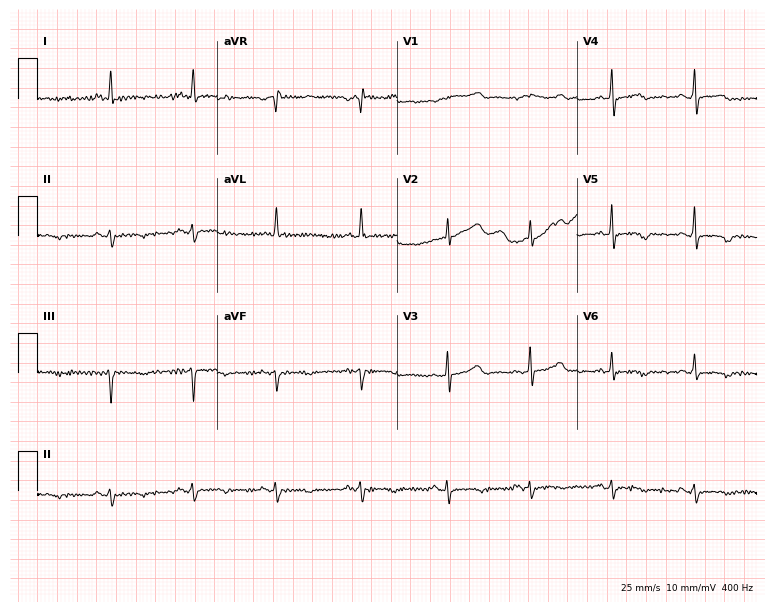
ECG — a female, 72 years old. Screened for six findings — first-degree AV block, right bundle branch block, left bundle branch block, sinus bradycardia, atrial fibrillation, sinus tachycardia — none is recorded. Other findings, if any, are not listed.